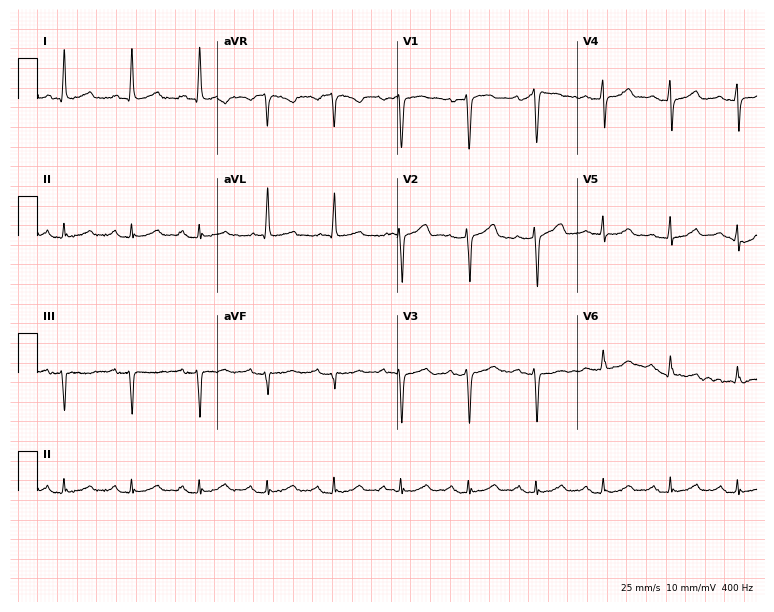
Standard 12-lead ECG recorded from a 59-year-old female. Read as a normal ECG.